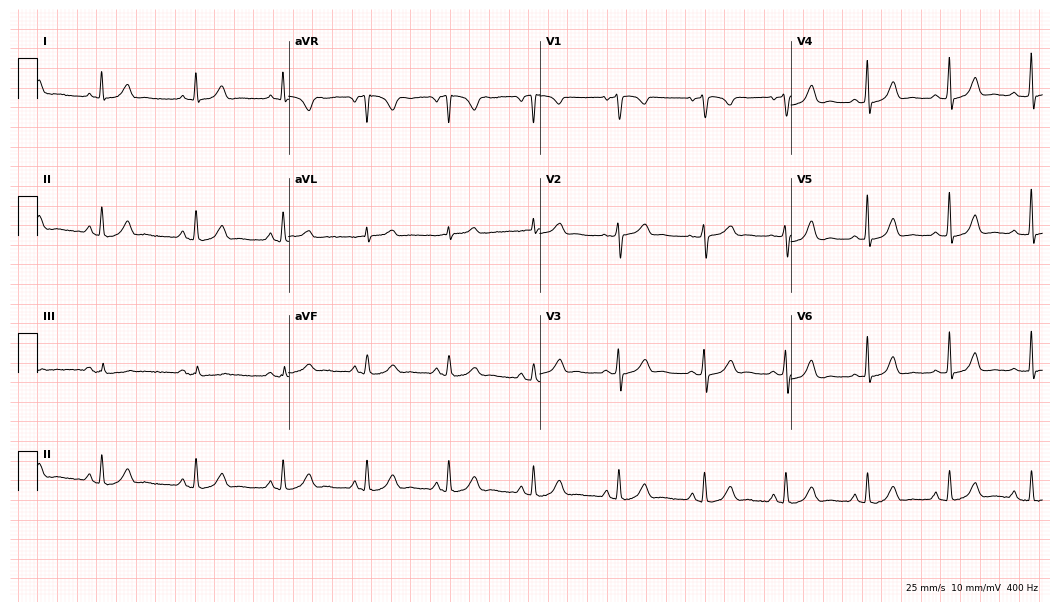
12-lead ECG from a woman, 68 years old. Labelled as a normal ECG.